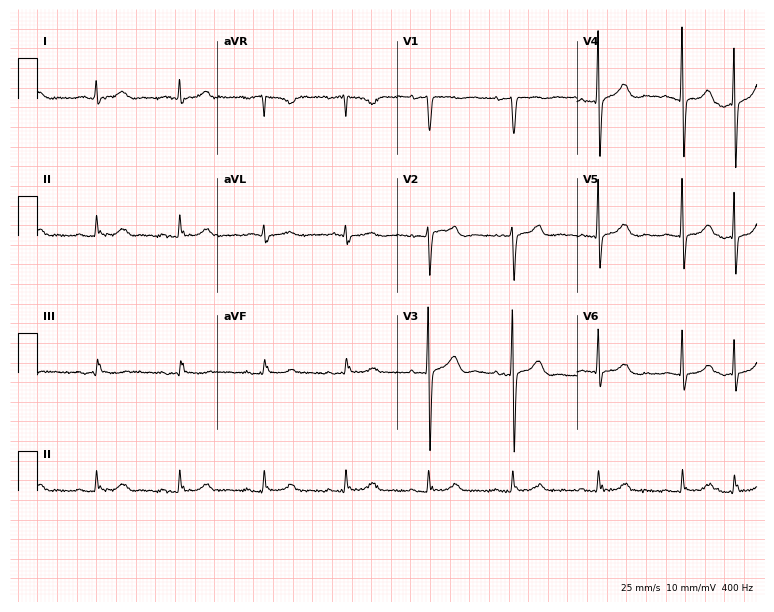
ECG (7.3-second recording at 400 Hz) — an 81-year-old female patient. Screened for six findings — first-degree AV block, right bundle branch block, left bundle branch block, sinus bradycardia, atrial fibrillation, sinus tachycardia — none is recorded. Other findings, if any, are not listed.